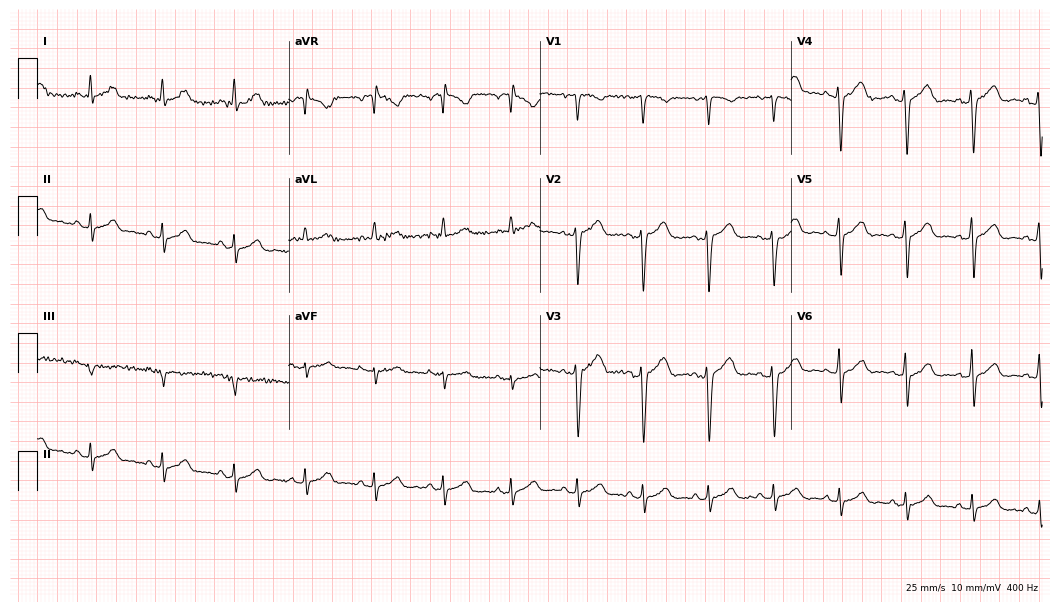
ECG (10.2-second recording at 400 Hz) — a male, 31 years old. Screened for six findings — first-degree AV block, right bundle branch block, left bundle branch block, sinus bradycardia, atrial fibrillation, sinus tachycardia — none is recorded.